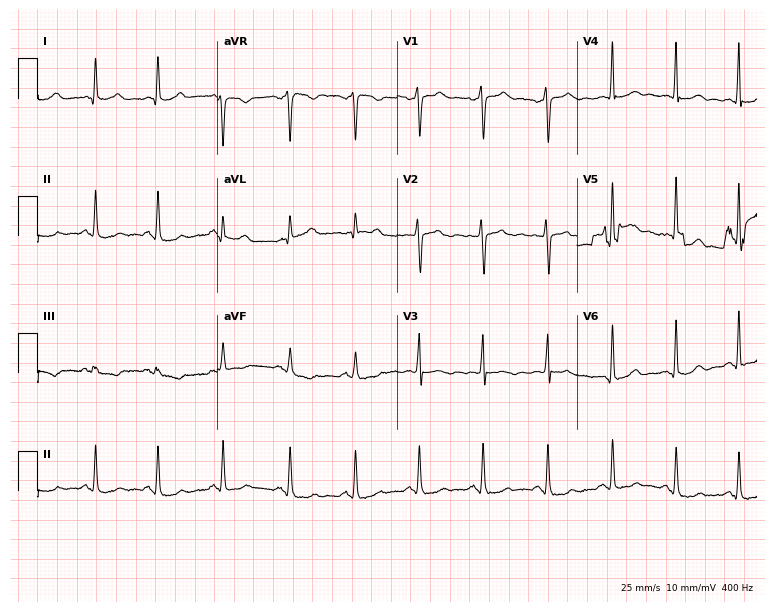
12-lead ECG (7.3-second recording at 400 Hz) from a 44-year-old female patient. Labelled as a normal ECG.